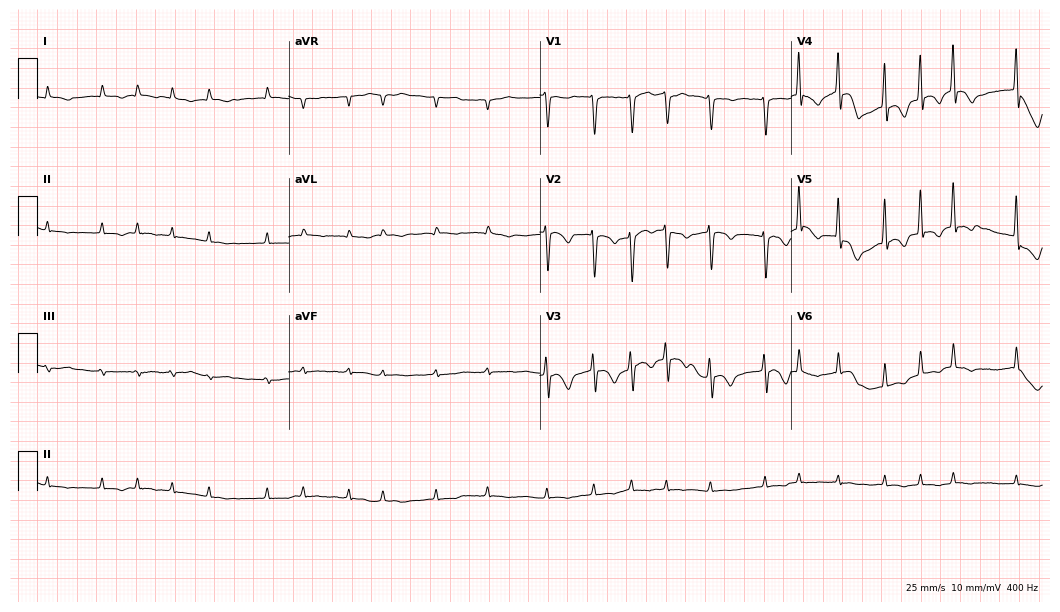
Resting 12-lead electrocardiogram (10.2-second recording at 400 Hz). Patient: a female, 84 years old. The tracing shows atrial fibrillation.